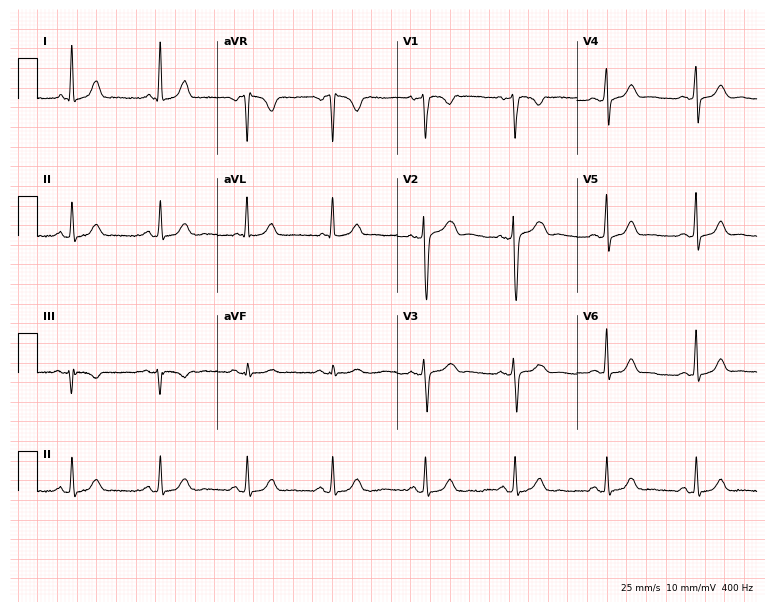
12-lead ECG from a 31-year-old female (7.3-second recording at 400 Hz). Recorded interpretation: within normal limits.